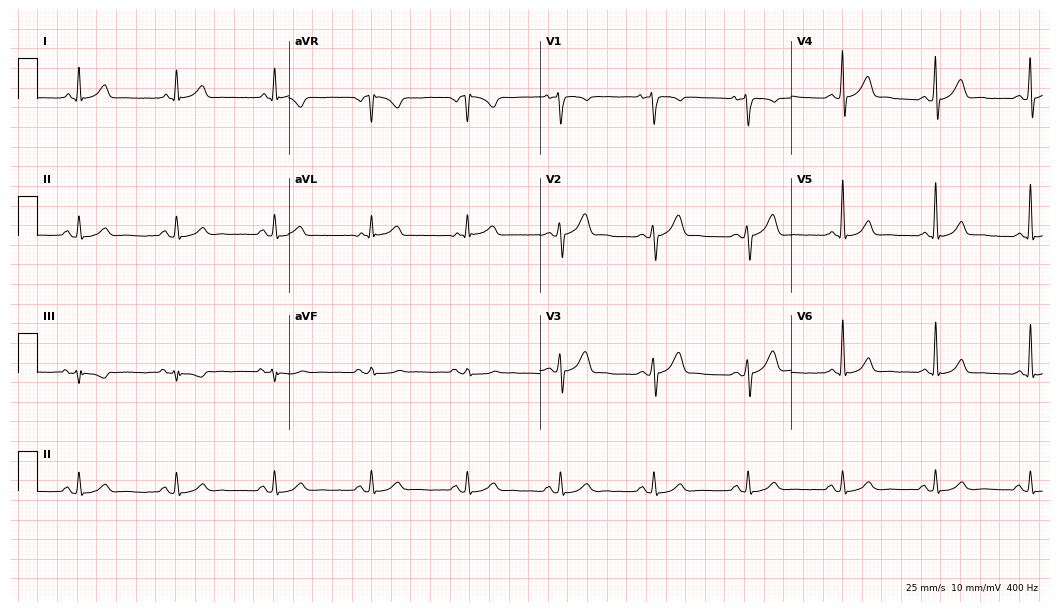
Standard 12-lead ECG recorded from a male, 41 years old. Read as a normal ECG.